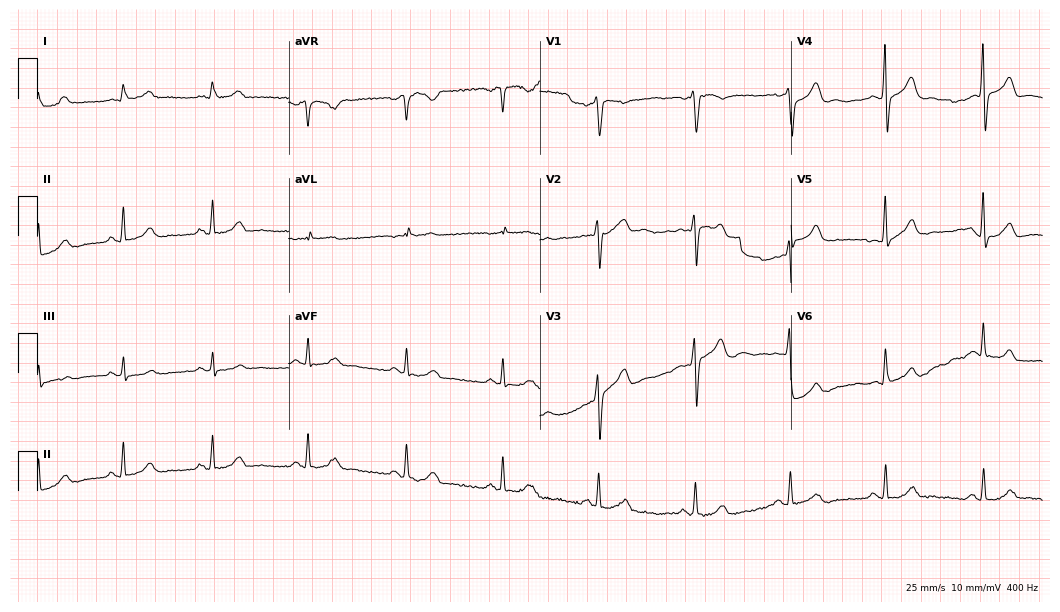
Resting 12-lead electrocardiogram (10.2-second recording at 400 Hz). Patient: a 48-year-old man. Read as a normal ECG.